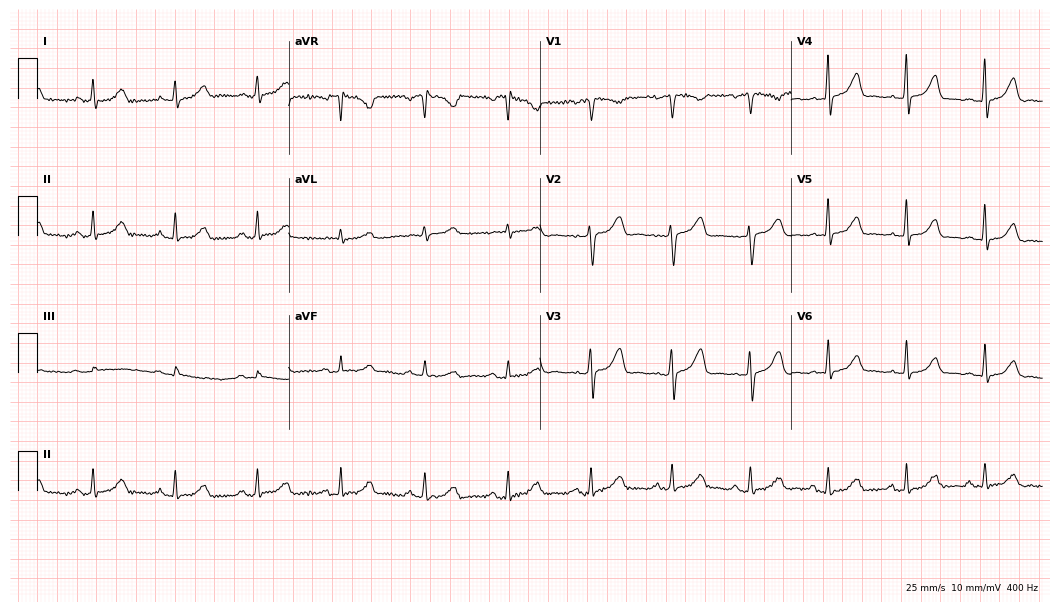
12-lead ECG from a 64-year-old woman. Labelled as a normal ECG.